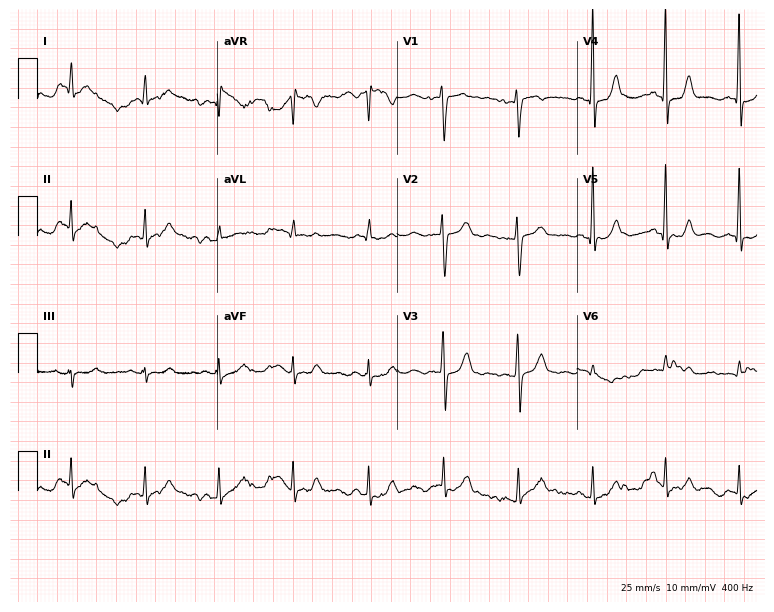
Resting 12-lead electrocardiogram. Patient: a 79-year-old female. None of these six findings is recorded: first-degree AV block, right bundle branch block, left bundle branch block, sinus bradycardia, atrial fibrillation, sinus tachycardia. Other findings, if any, are not listed.